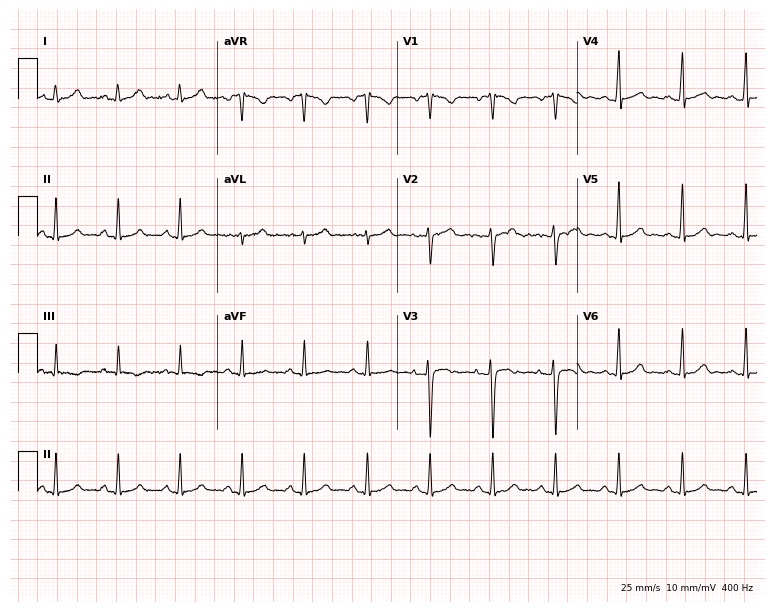
12-lead ECG from a female patient, 22 years old. Screened for six findings — first-degree AV block, right bundle branch block, left bundle branch block, sinus bradycardia, atrial fibrillation, sinus tachycardia — none is recorded. Findings outside these six are not listed.